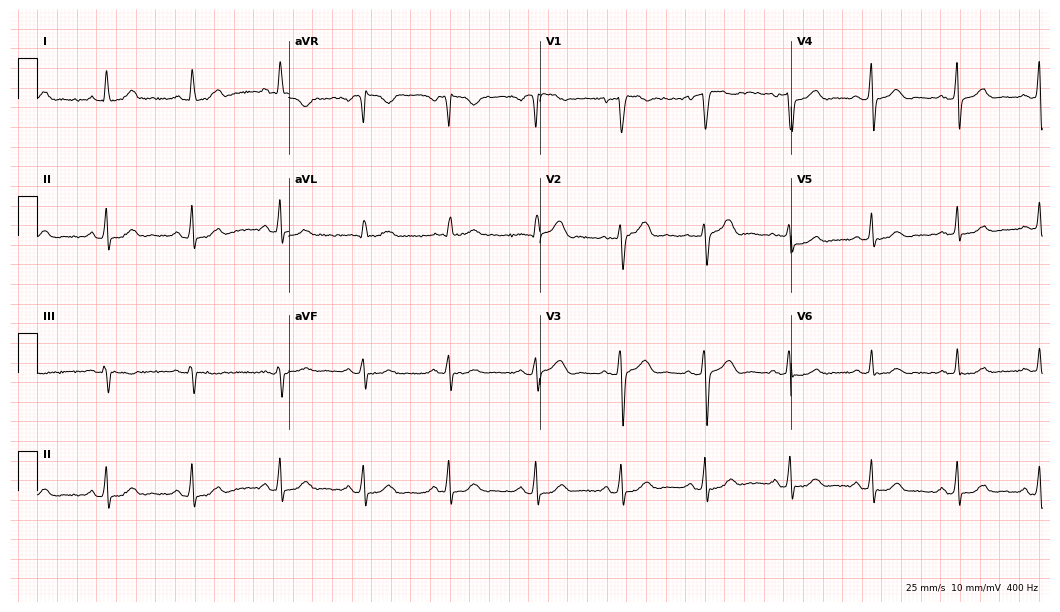
ECG — a 36-year-old female. Labelled as a normal ECG.